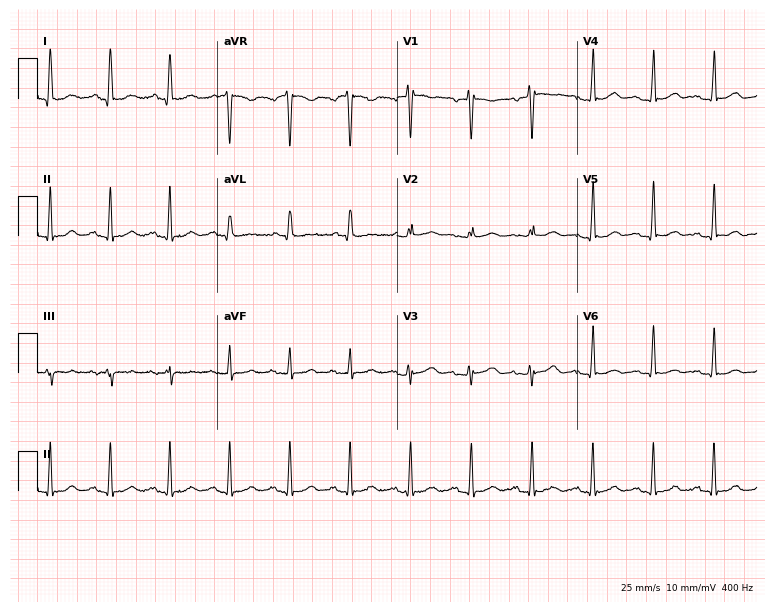
12-lead ECG from a female, 29 years old (7.3-second recording at 400 Hz). Recorded interpretation: within normal limits.